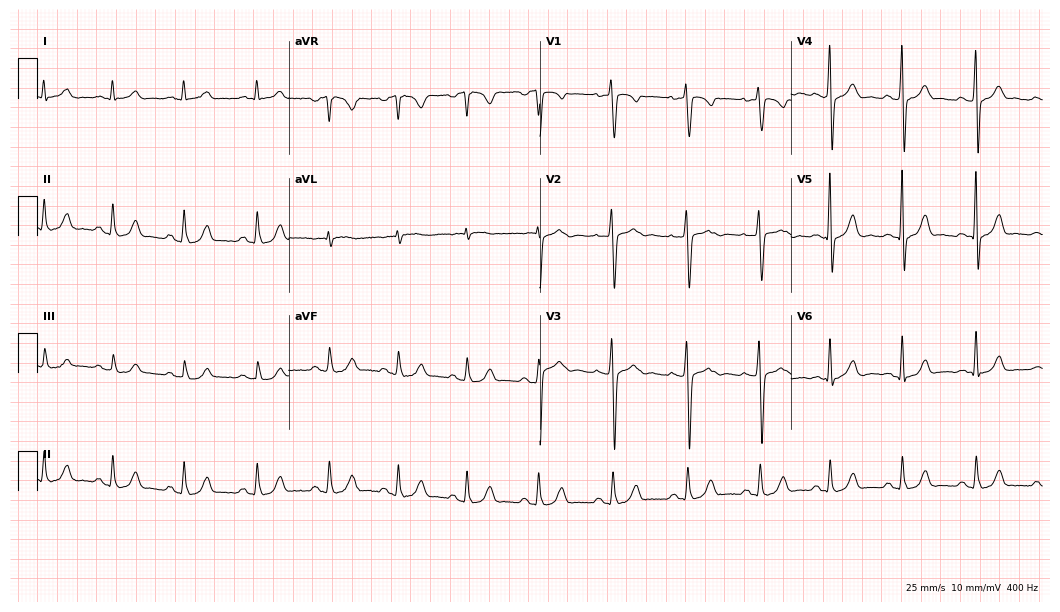
Resting 12-lead electrocardiogram. Patient: a 40-year-old man. Read as a normal ECG.